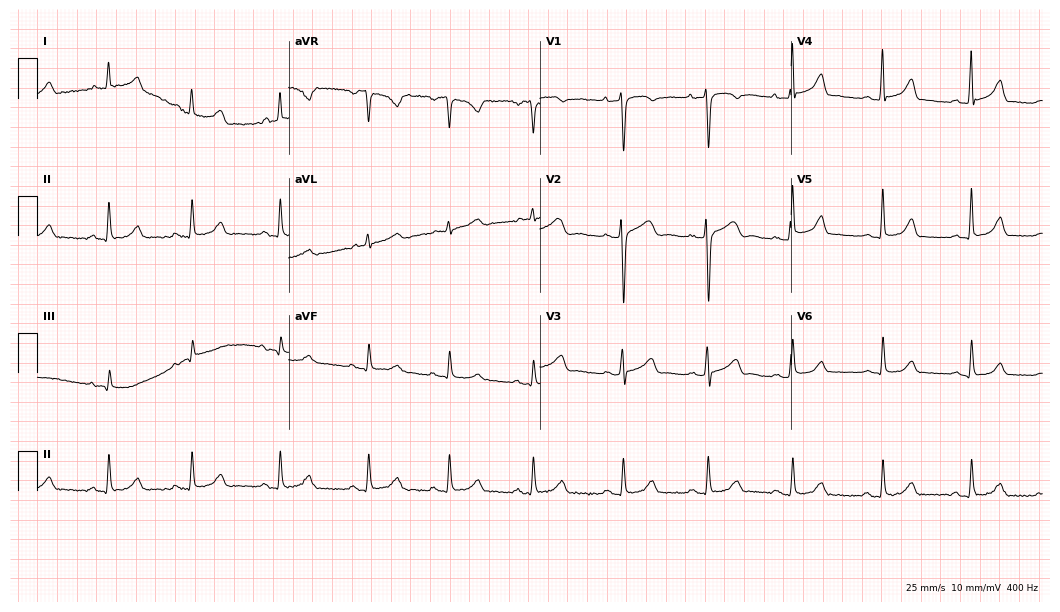
Resting 12-lead electrocardiogram. Patient: a 26-year-old female. Read as a normal ECG.